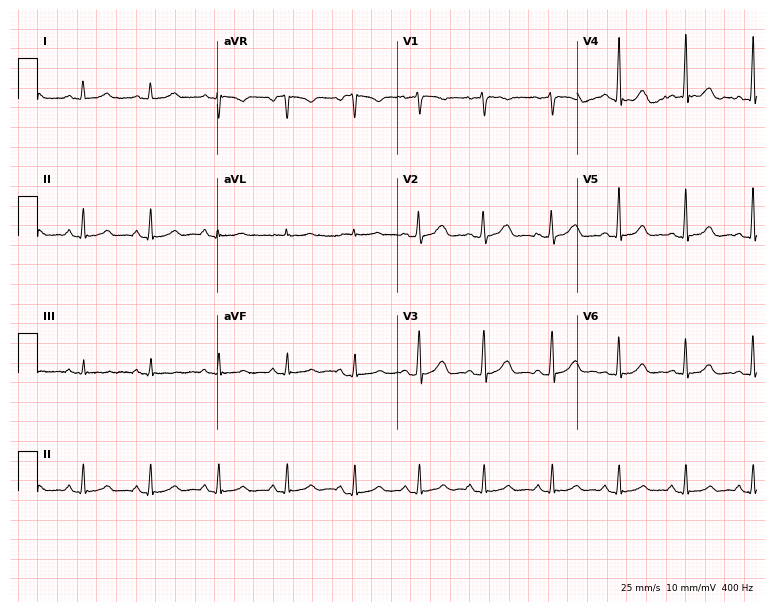
12-lead ECG from a 43-year-old woman. Recorded interpretation: within normal limits.